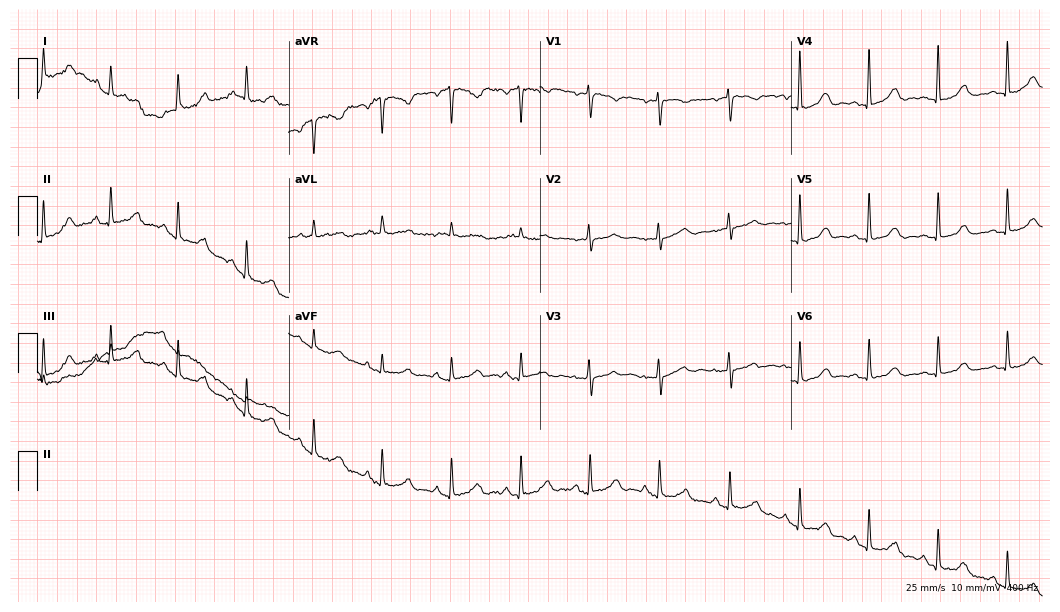
Electrocardiogram, a woman, 76 years old. Overall reading on record: normal ECG.